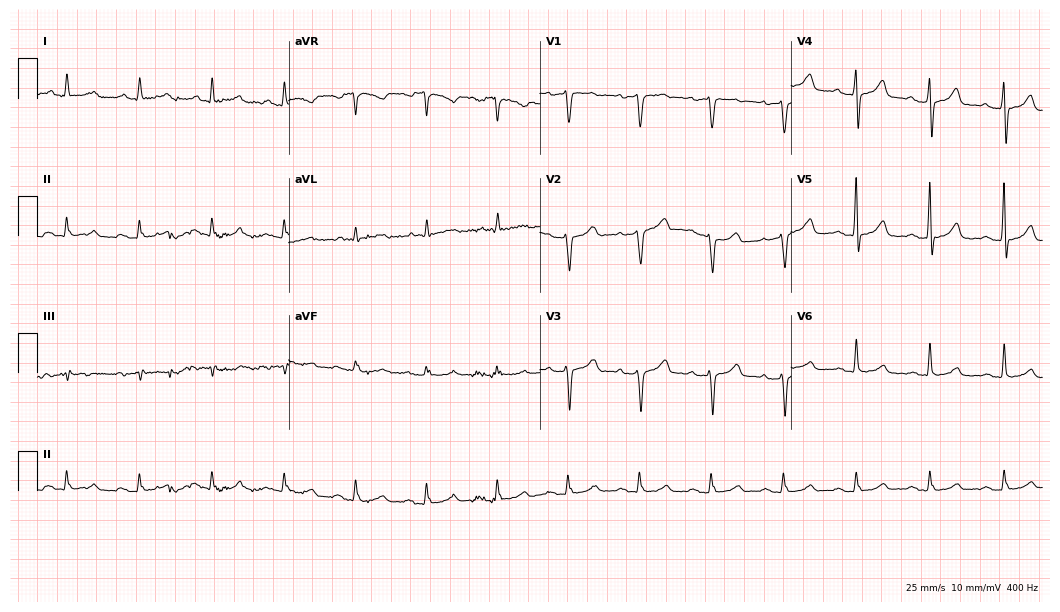
Resting 12-lead electrocardiogram. Patient: a male, 62 years old. Read as a normal ECG.